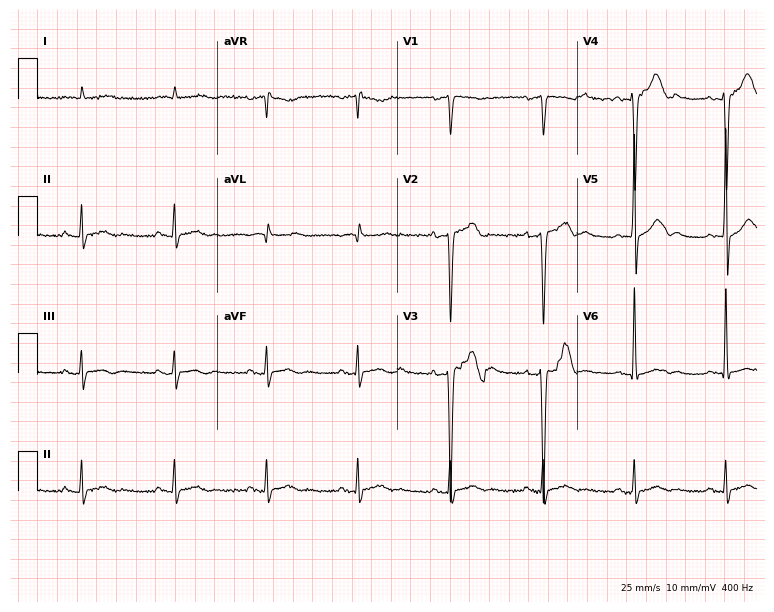
Electrocardiogram, a 79-year-old male patient. Overall reading on record: normal ECG.